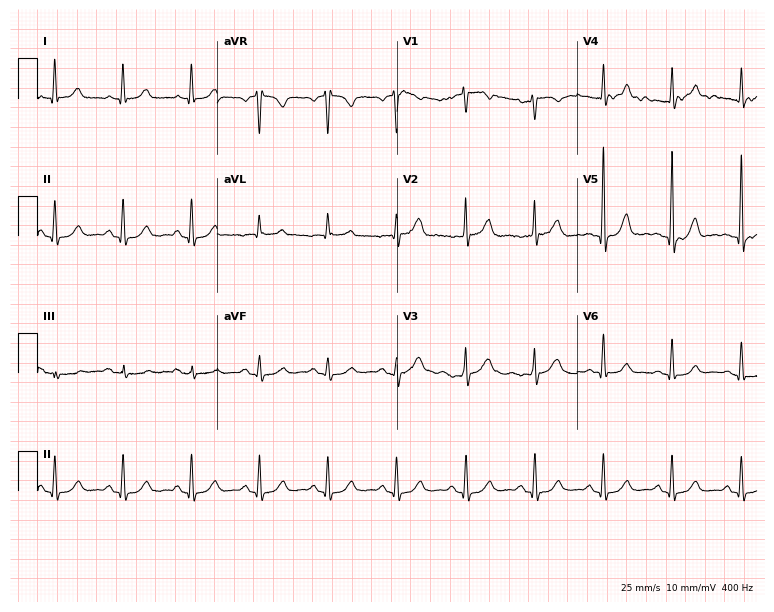
Electrocardiogram, a 63-year-old man. Overall reading on record: normal ECG.